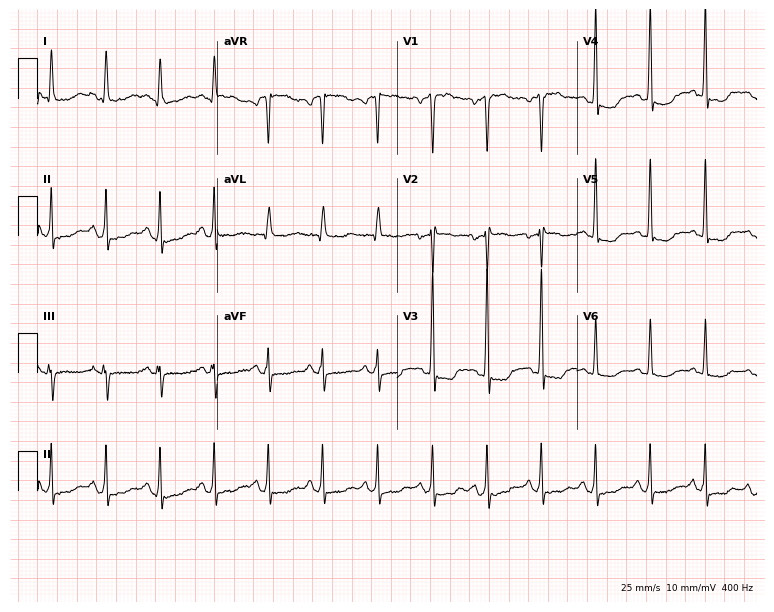
Standard 12-lead ECG recorded from a man, 43 years old (7.3-second recording at 400 Hz). None of these six findings is recorded: first-degree AV block, right bundle branch block, left bundle branch block, sinus bradycardia, atrial fibrillation, sinus tachycardia.